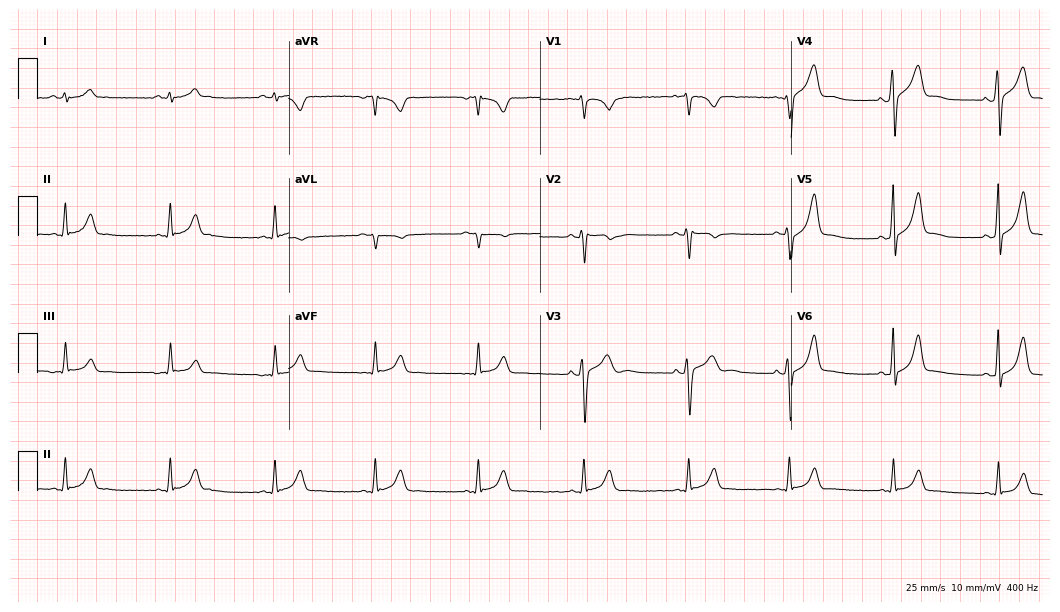
Electrocardiogram (10.2-second recording at 400 Hz), a male patient, 31 years old. Overall reading on record: normal ECG.